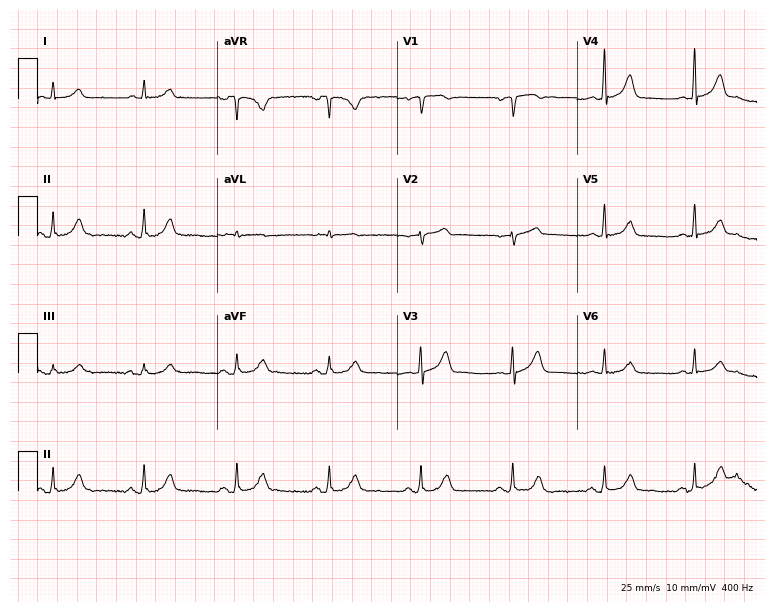
12-lead ECG from a man, 71 years old. Screened for six findings — first-degree AV block, right bundle branch block (RBBB), left bundle branch block (LBBB), sinus bradycardia, atrial fibrillation (AF), sinus tachycardia — none is recorded. Other findings, if any, are not listed.